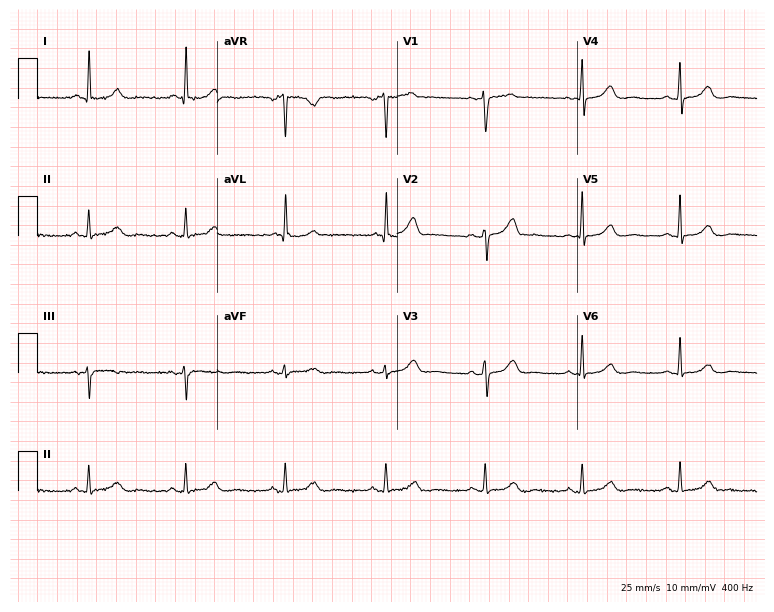
12-lead ECG from a woman, 66 years old. Labelled as a normal ECG.